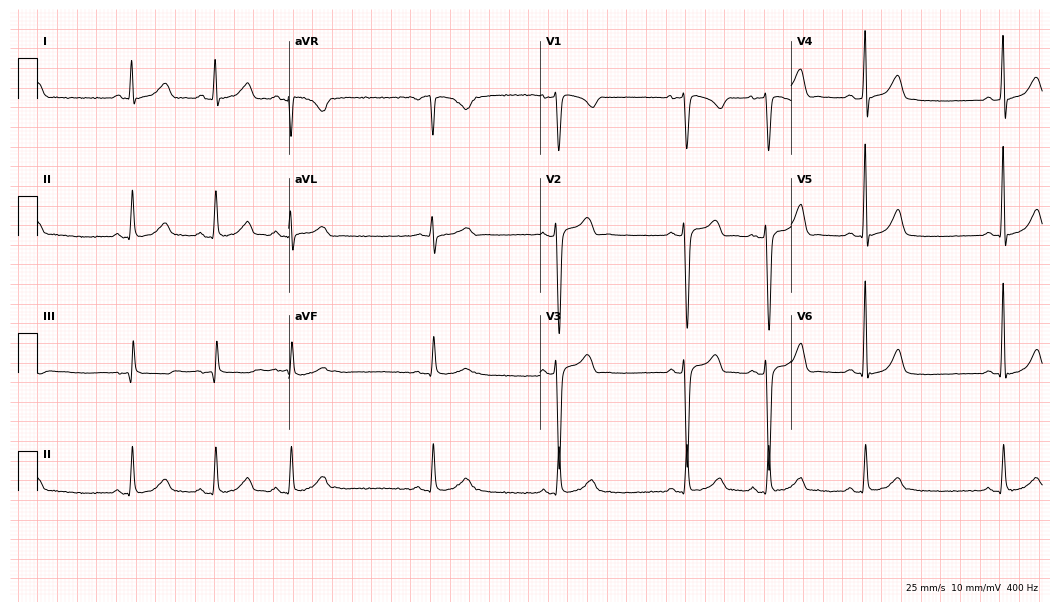
ECG — a 29-year-old man. Screened for six findings — first-degree AV block, right bundle branch block (RBBB), left bundle branch block (LBBB), sinus bradycardia, atrial fibrillation (AF), sinus tachycardia — none is recorded. Findings outside these six are not listed.